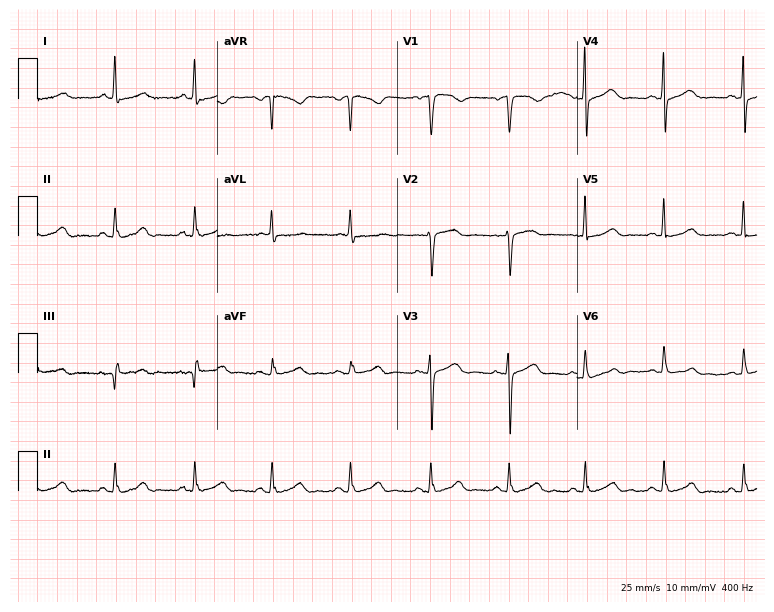
Standard 12-lead ECG recorded from a woman, 35 years old (7.3-second recording at 400 Hz). Read as a normal ECG.